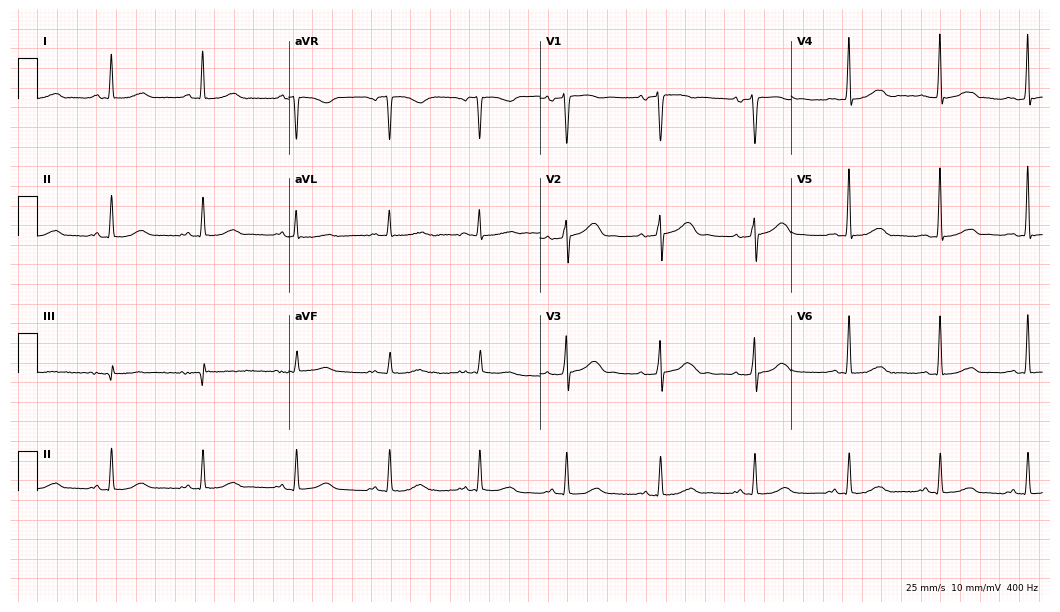
ECG (10.2-second recording at 400 Hz) — a woman, 74 years old. Labelled as a normal ECG.